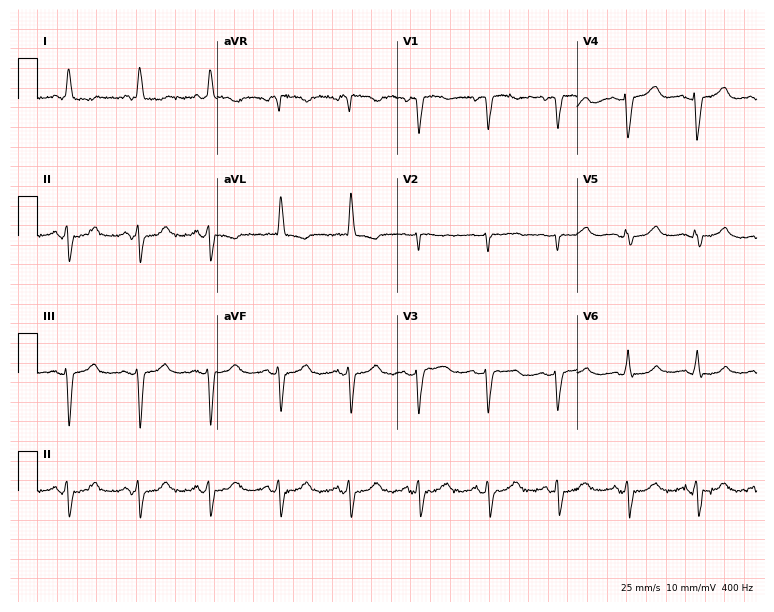
Resting 12-lead electrocardiogram. Patient: a 70-year-old woman. None of these six findings is recorded: first-degree AV block, right bundle branch block, left bundle branch block, sinus bradycardia, atrial fibrillation, sinus tachycardia.